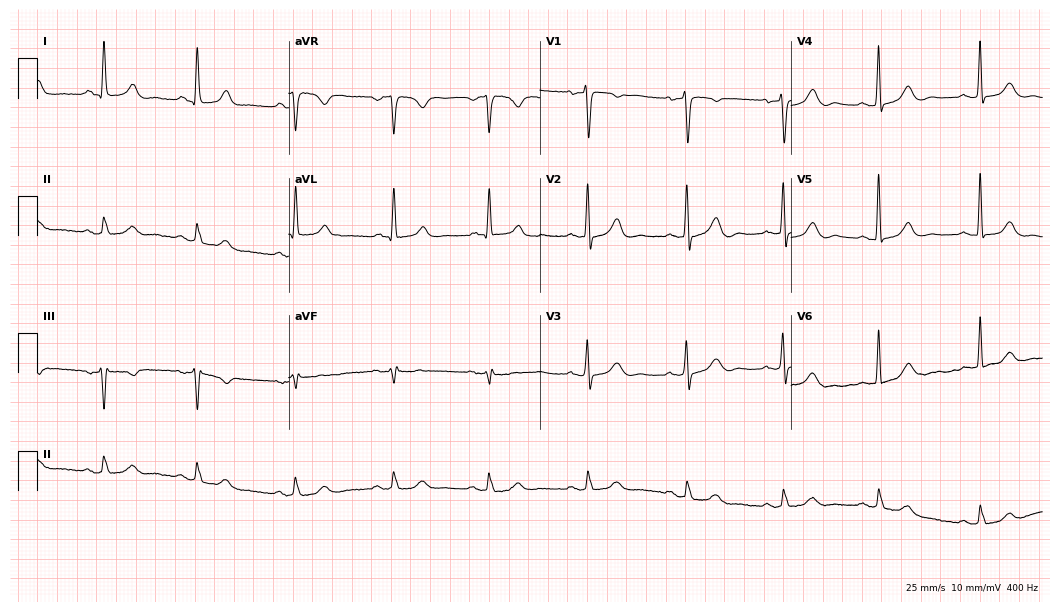
ECG — a female, 70 years old. Labelled as a normal ECG.